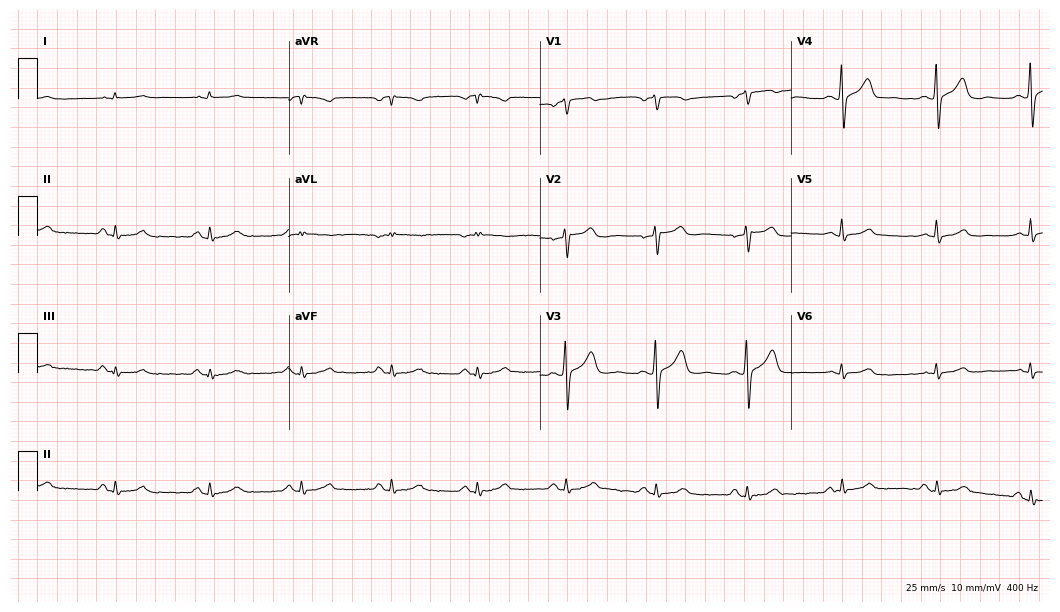
Electrocardiogram (10.2-second recording at 400 Hz), a male, 52 years old. Overall reading on record: normal ECG.